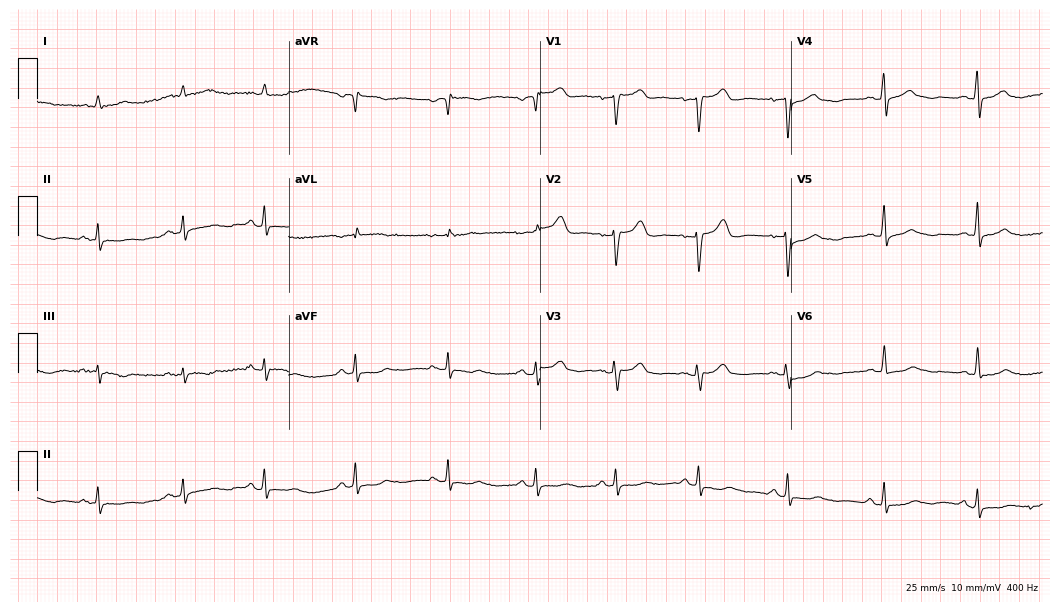
12-lead ECG from a 71-year-old woman. Labelled as a normal ECG.